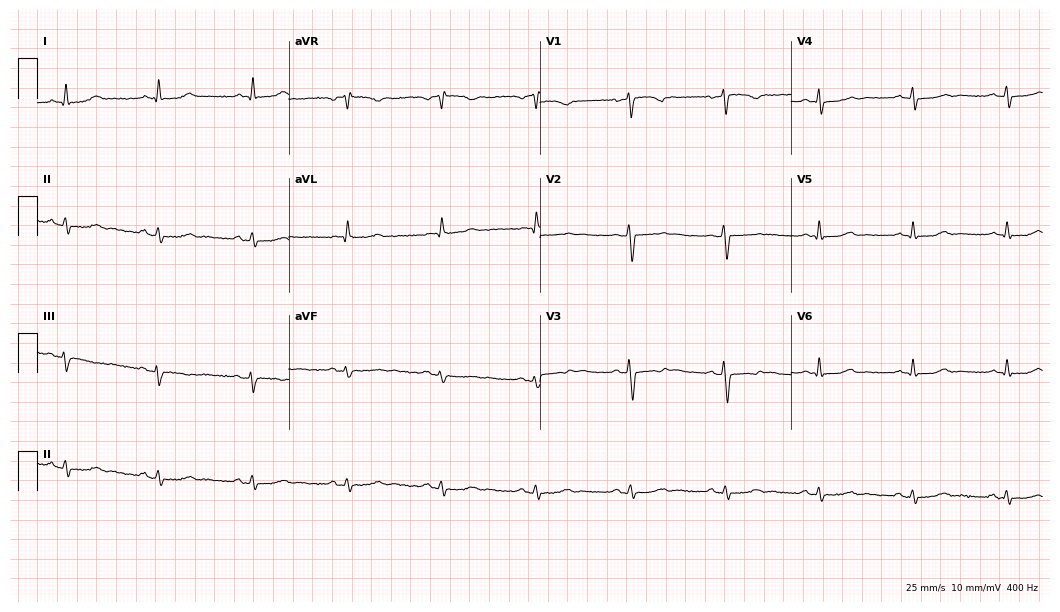
Electrocardiogram (10.2-second recording at 400 Hz), a 45-year-old female patient. Of the six screened findings (first-degree AV block, right bundle branch block (RBBB), left bundle branch block (LBBB), sinus bradycardia, atrial fibrillation (AF), sinus tachycardia), none is recorded. Other findings, if any, are not listed.